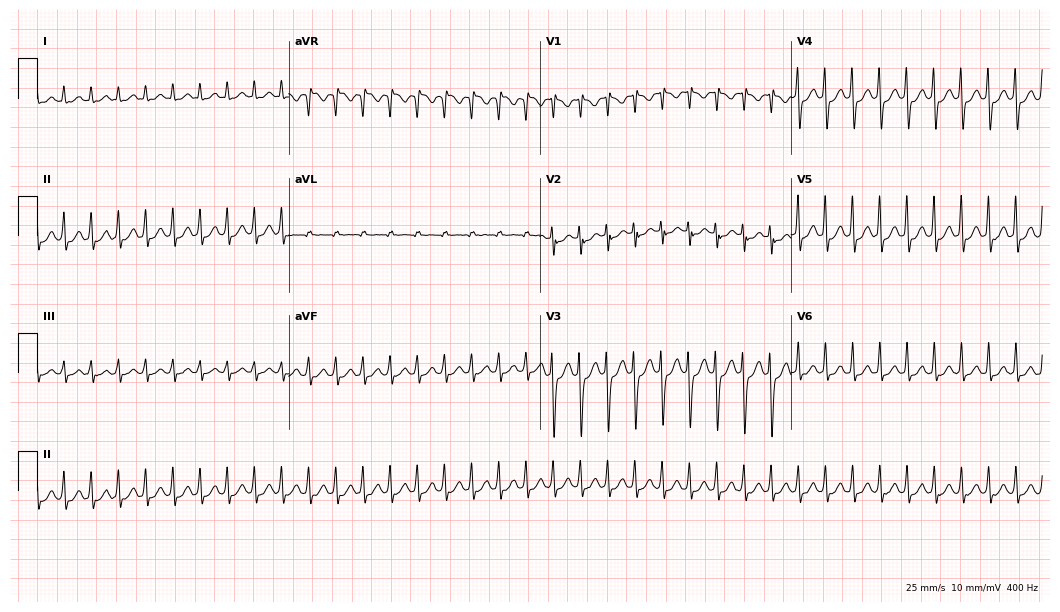
Electrocardiogram, a 20-year-old female. Interpretation includes sinus tachycardia (a sinus rate of 100 beats per minute or more).